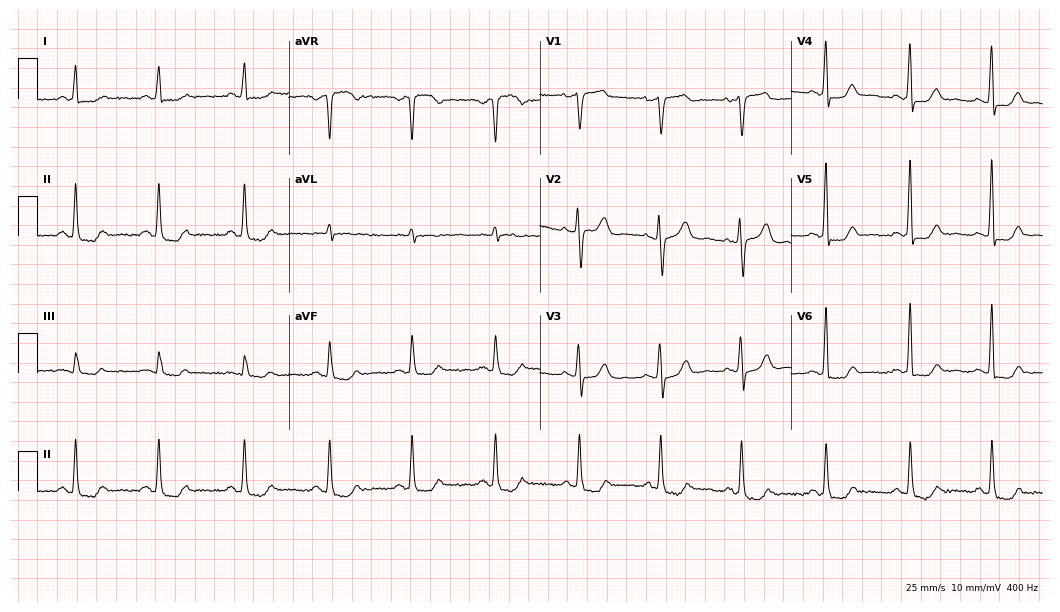
12-lead ECG from a female patient, 57 years old. Screened for six findings — first-degree AV block, right bundle branch block, left bundle branch block, sinus bradycardia, atrial fibrillation, sinus tachycardia — none is recorded. Findings outside these six are not listed.